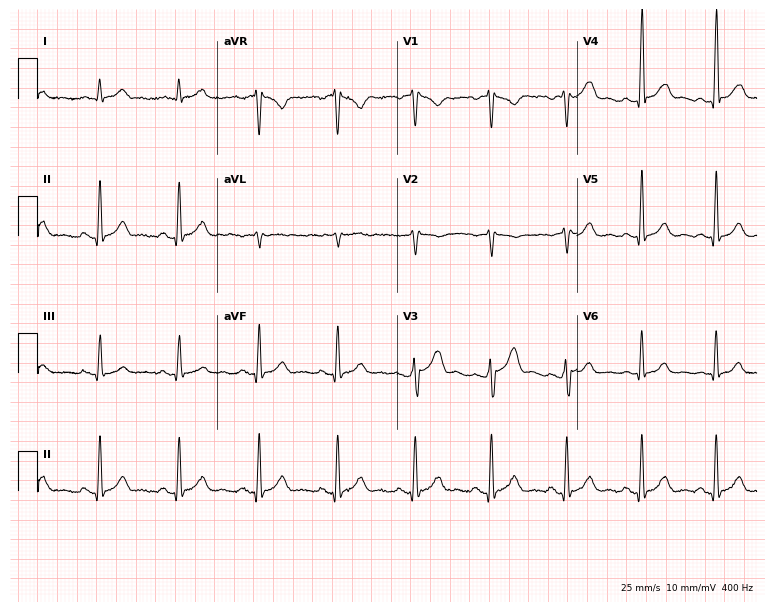
Standard 12-lead ECG recorded from a 56-year-old male (7.3-second recording at 400 Hz). Read as a normal ECG.